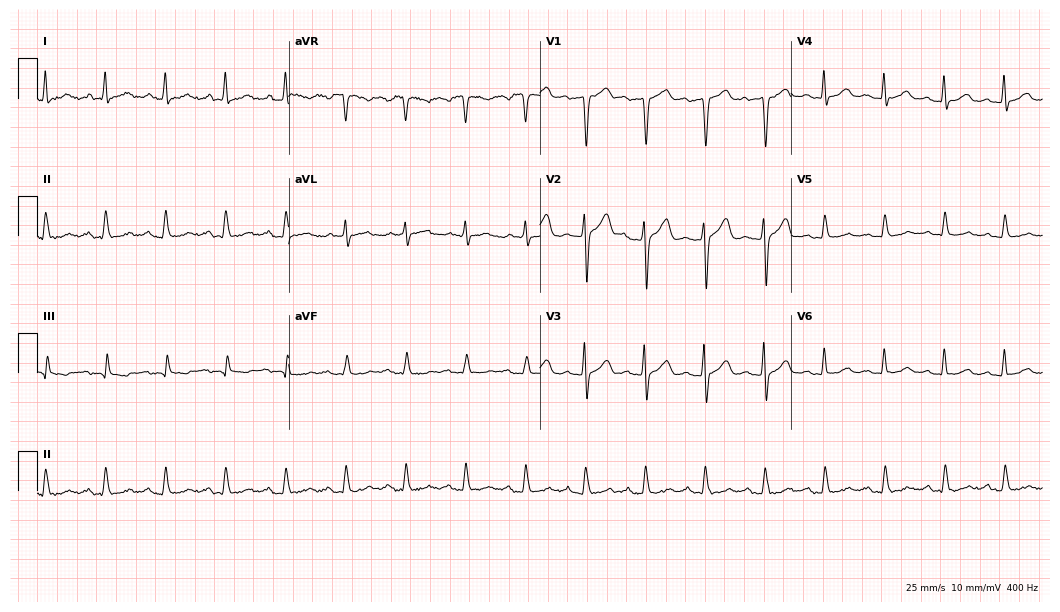
12-lead ECG from a 60-year-old male patient. No first-degree AV block, right bundle branch block (RBBB), left bundle branch block (LBBB), sinus bradycardia, atrial fibrillation (AF) or sinus tachycardia recorded for this tracing.